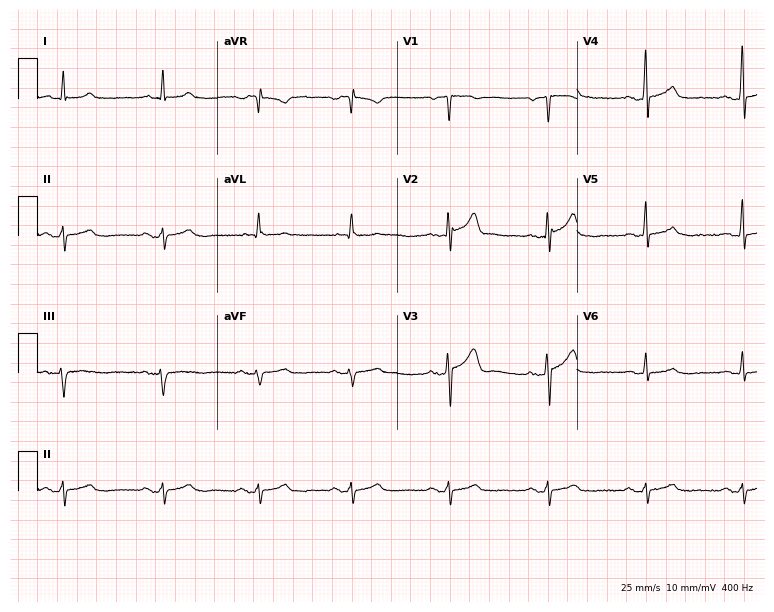
Electrocardiogram, a 59-year-old man. Of the six screened findings (first-degree AV block, right bundle branch block, left bundle branch block, sinus bradycardia, atrial fibrillation, sinus tachycardia), none is recorded.